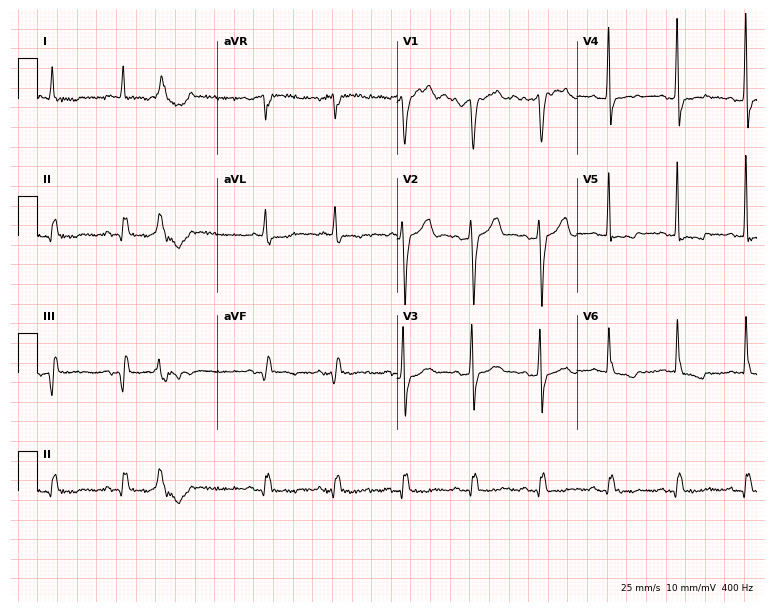
Standard 12-lead ECG recorded from a man, 73 years old. None of these six findings is recorded: first-degree AV block, right bundle branch block, left bundle branch block, sinus bradycardia, atrial fibrillation, sinus tachycardia. Other findings, if any, are not listed.